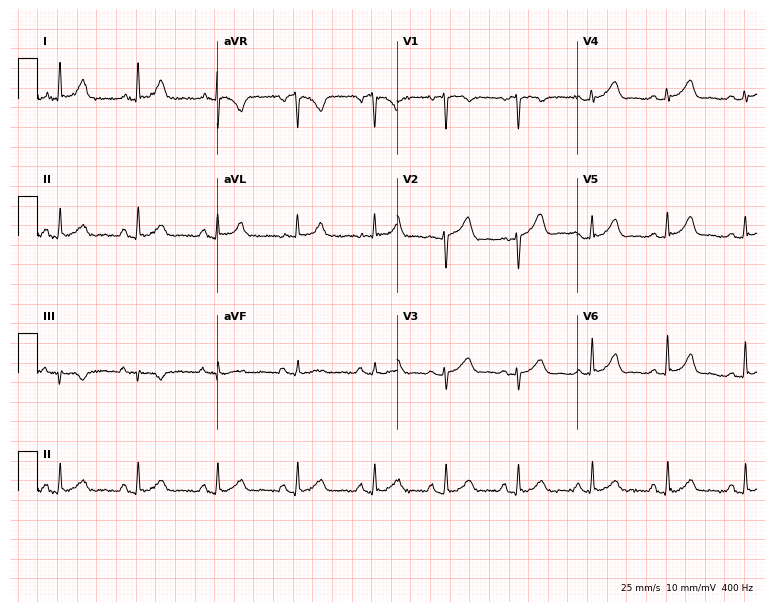
12-lead ECG from a 55-year-old female patient. Labelled as a normal ECG.